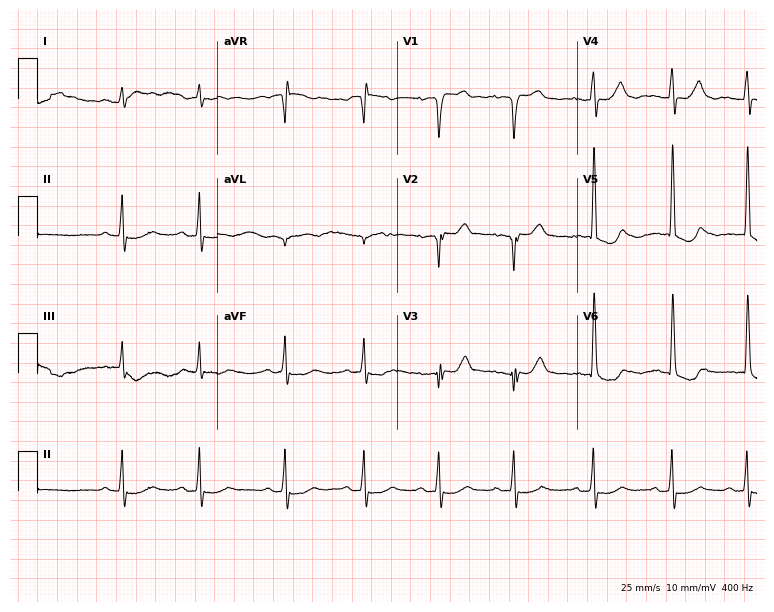
12-lead ECG from a woman, 82 years old. No first-degree AV block, right bundle branch block, left bundle branch block, sinus bradycardia, atrial fibrillation or sinus tachycardia recorded for this tracing.